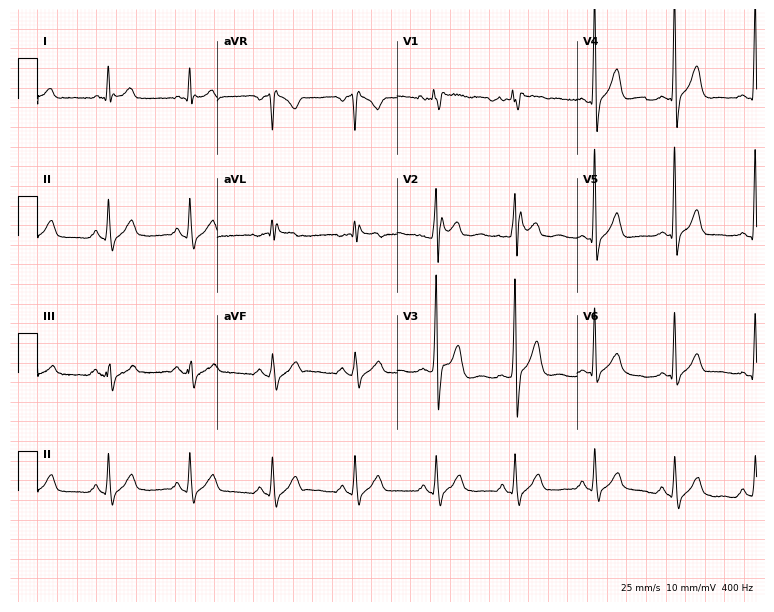
Electrocardiogram, a 43-year-old man. Of the six screened findings (first-degree AV block, right bundle branch block, left bundle branch block, sinus bradycardia, atrial fibrillation, sinus tachycardia), none is recorded. Findings outside these six are not listed.